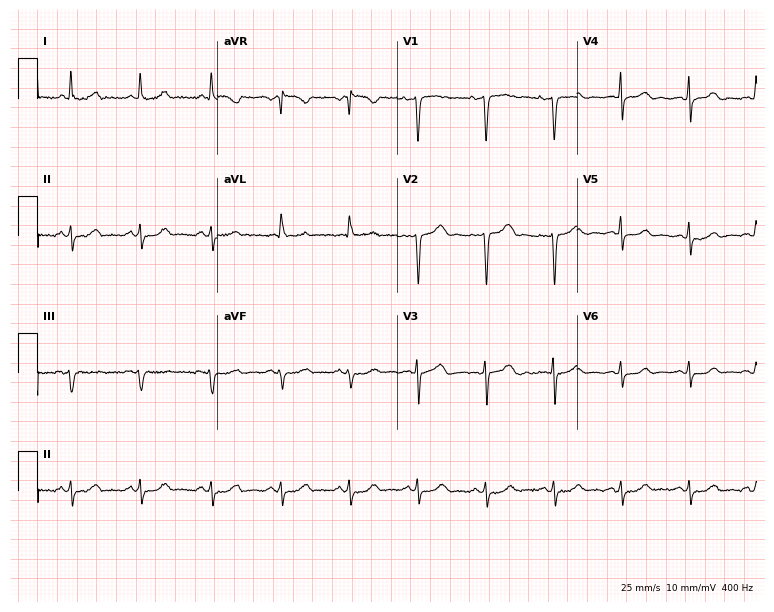
Resting 12-lead electrocardiogram (7.3-second recording at 400 Hz). Patient: a 57-year-old female. None of these six findings is recorded: first-degree AV block, right bundle branch block, left bundle branch block, sinus bradycardia, atrial fibrillation, sinus tachycardia.